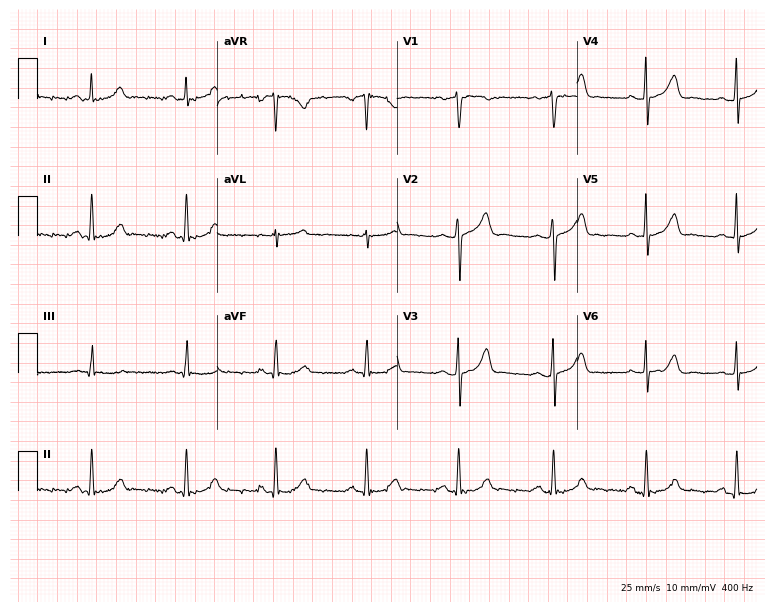
Resting 12-lead electrocardiogram (7.3-second recording at 400 Hz). Patient: a female, 58 years old. Read as a normal ECG.